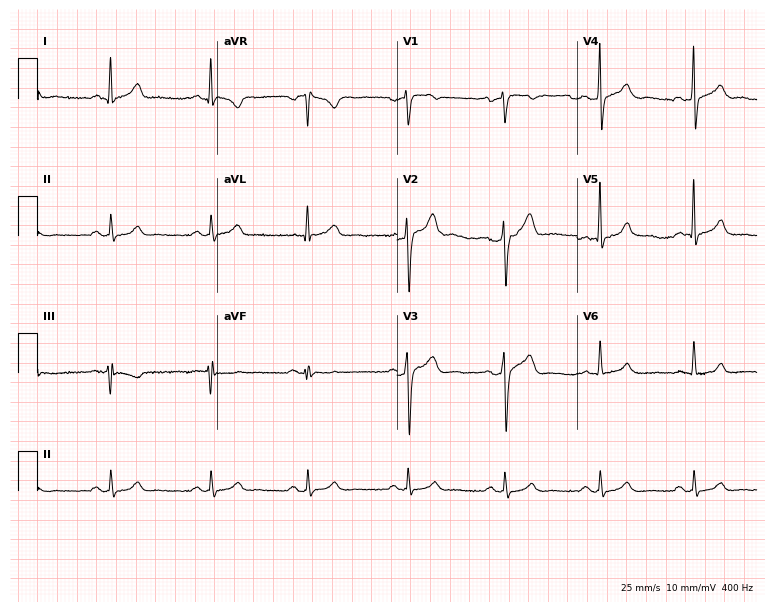
Standard 12-lead ECG recorded from a male, 45 years old (7.3-second recording at 400 Hz). Read as a normal ECG.